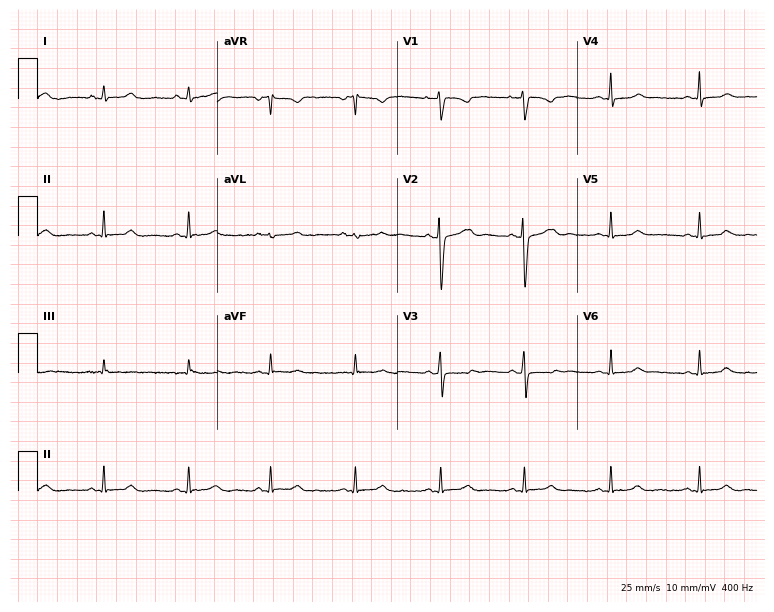
Standard 12-lead ECG recorded from a 43-year-old female. None of these six findings is recorded: first-degree AV block, right bundle branch block (RBBB), left bundle branch block (LBBB), sinus bradycardia, atrial fibrillation (AF), sinus tachycardia. Findings outside these six are not listed.